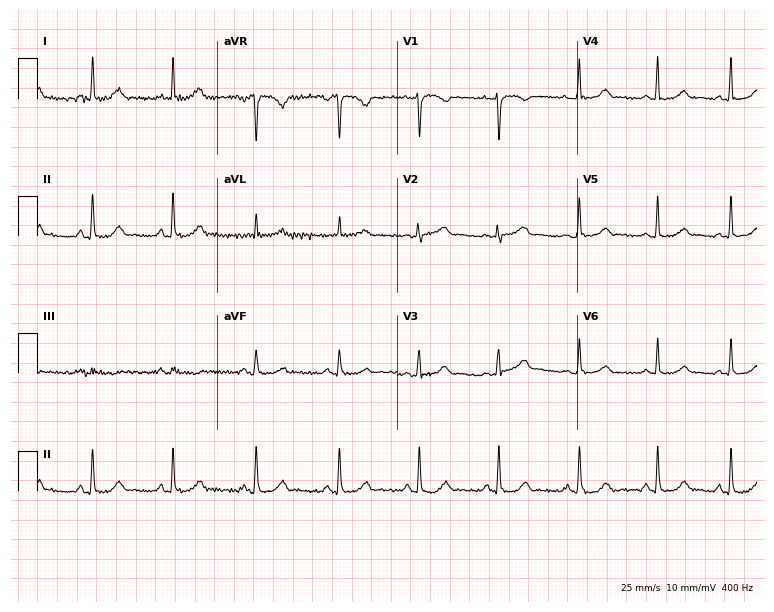
12-lead ECG (7.3-second recording at 400 Hz) from a female patient, 47 years old. Screened for six findings — first-degree AV block, right bundle branch block, left bundle branch block, sinus bradycardia, atrial fibrillation, sinus tachycardia — none is recorded.